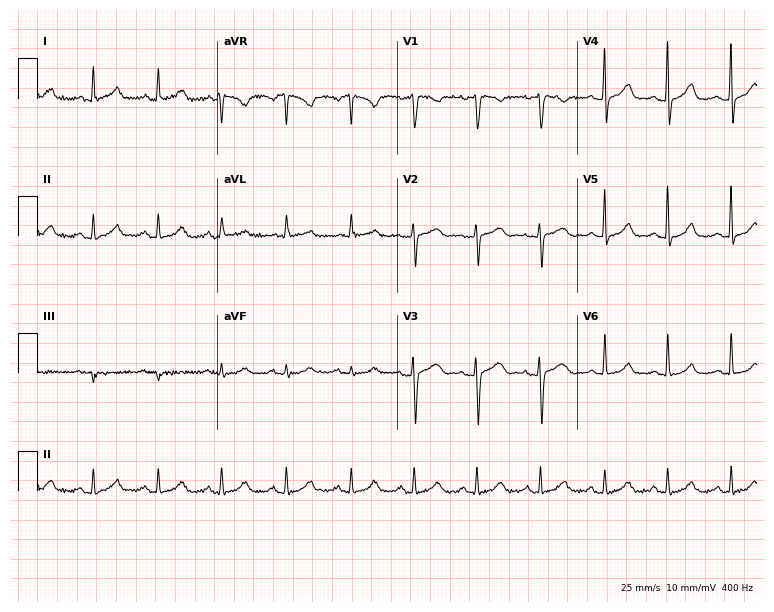
Electrocardiogram, a female, 35 years old. Overall reading on record: normal ECG.